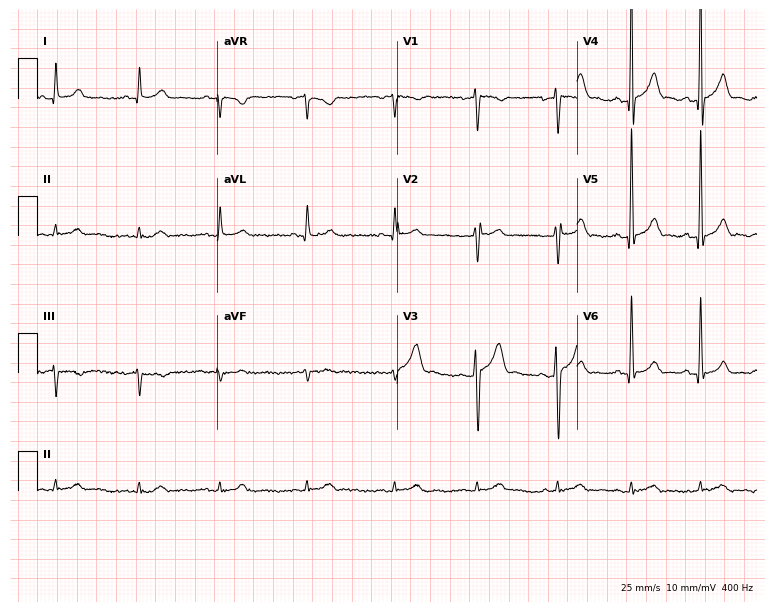
Resting 12-lead electrocardiogram (7.3-second recording at 400 Hz). Patient: a 23-year-old male. Read as a normal ECG.